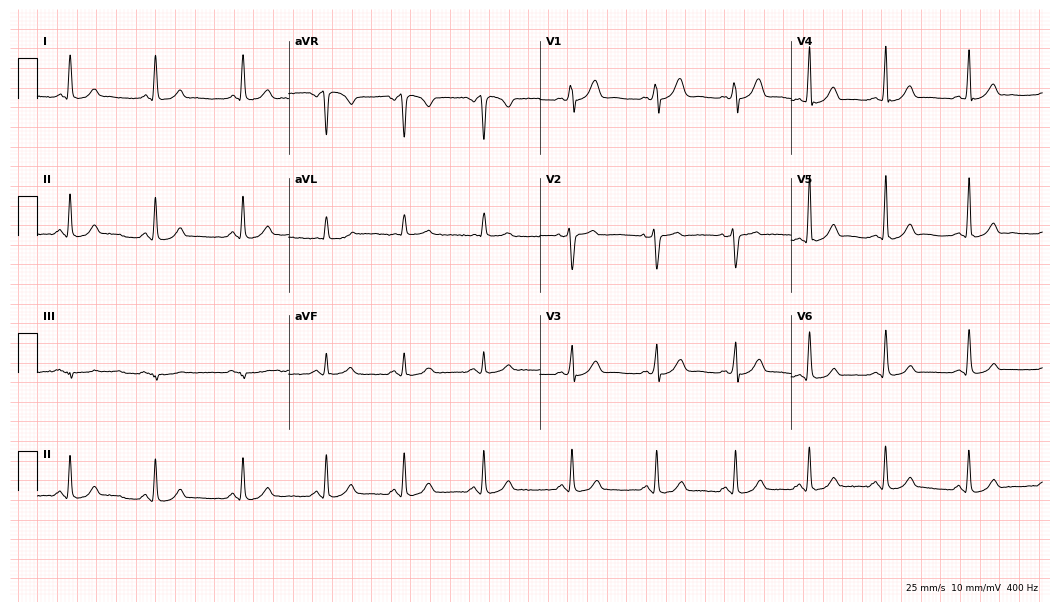
12-lead ECG (10.2-second recording at 400 Hz) from a female, 30 years old. Labelled as a normal ECG.